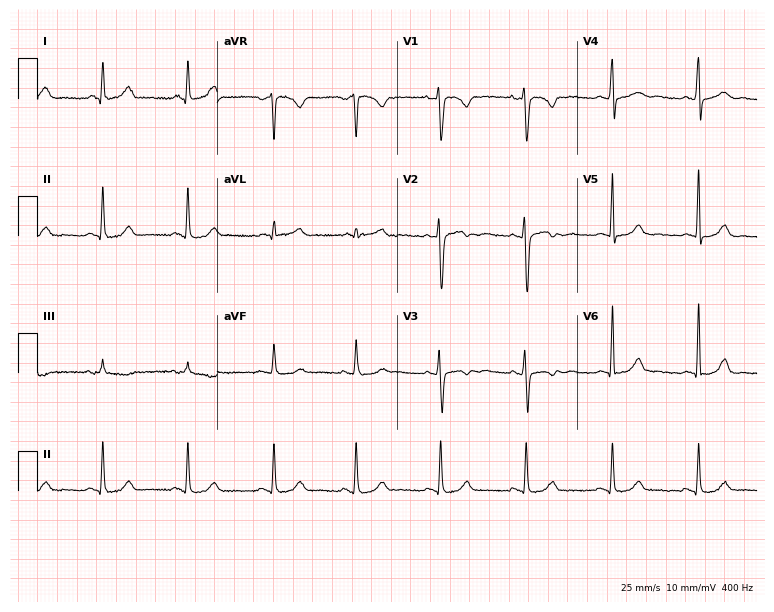
Standard 12-lead ECG recorded from a 42-year-old female (7.3-second recording at 400 Hz). None of these six findings is recorded: first-degree AV block, right bundle branch block, left bundle branch block, sinus bradycardia, atrial fibrillation, sinus tachycardia. Only these six findings were labelled.